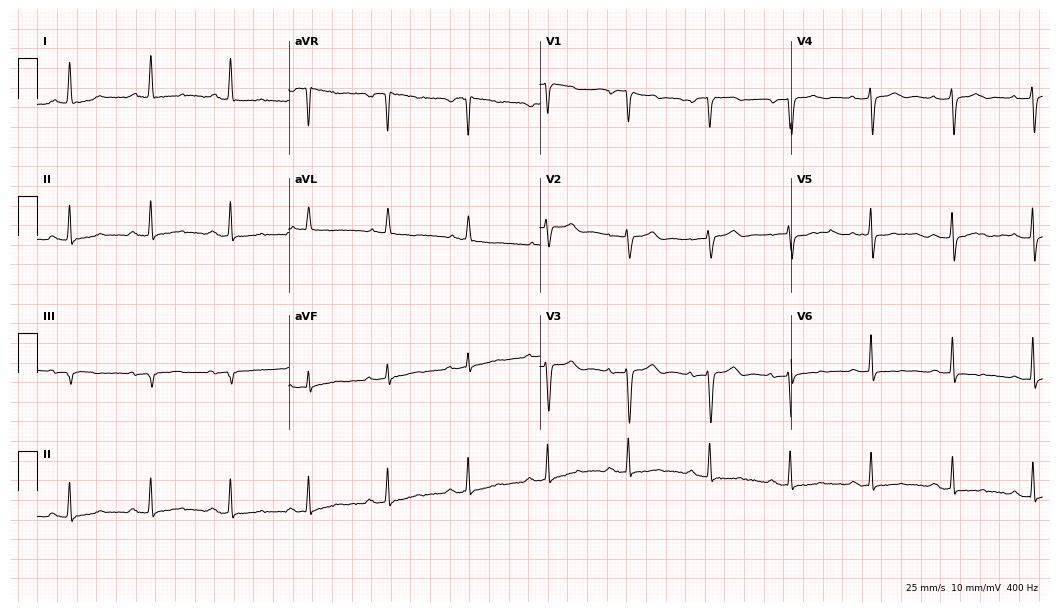
12-lead ECG from a woman, 83 years old. Screened for six findings — first-degree AV block, right bundle branch block, left bundle branch block, sinus bradycardia, atrial fibrillation, sinus tachycardia — none is recorded. Only these six findings were labelled.